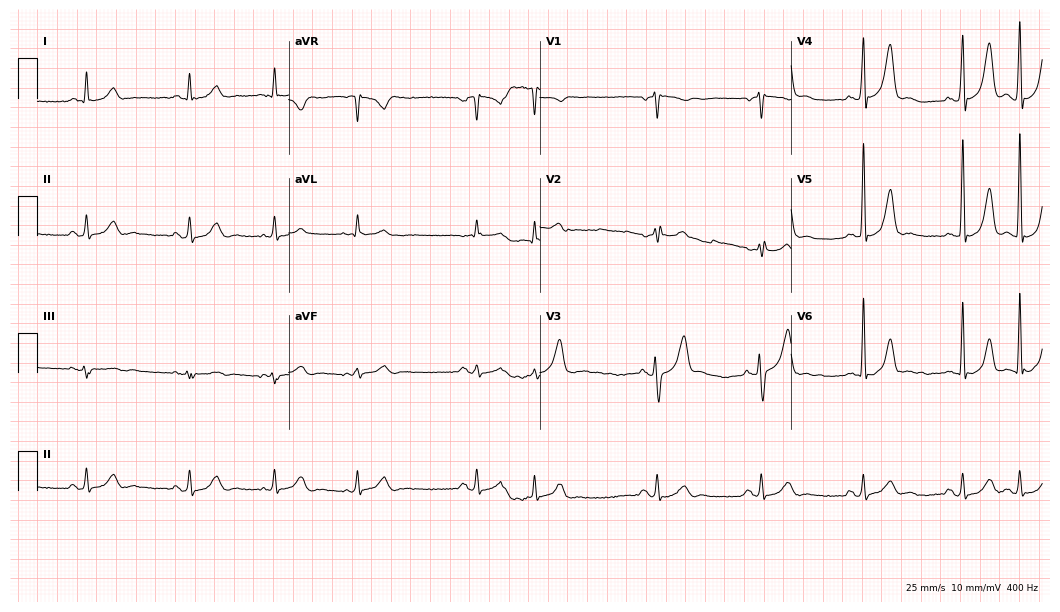
12-lead ECG from a 71-year-old male (10.2-second recording at 400 Hz). No first-degree AV block, right bundle branch block, left bundle branch block, sinus bradycardia, atrial fibrillation or sinus tachycardia recorded for this tracing.